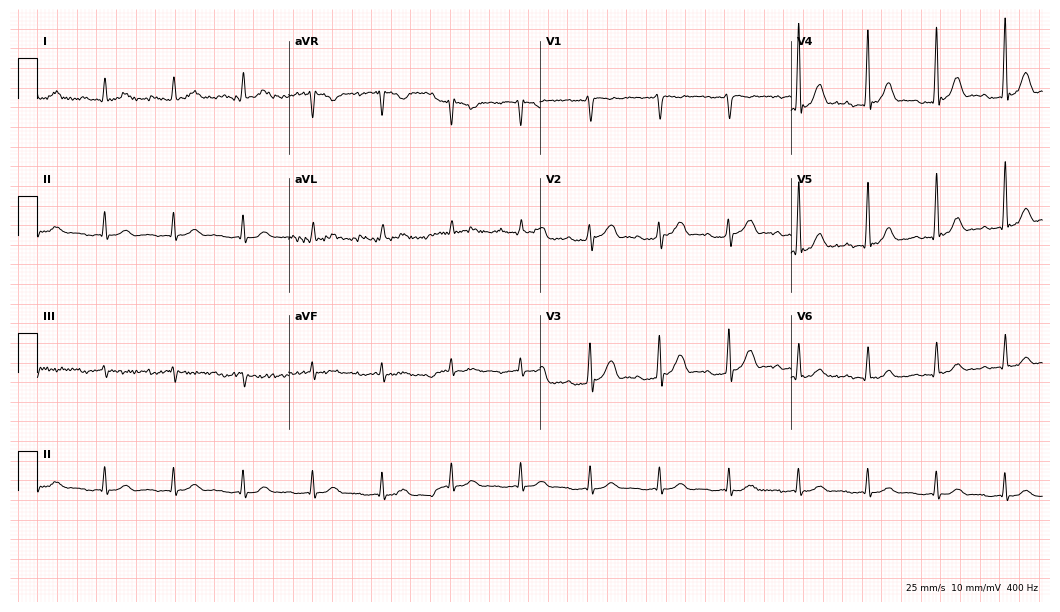
12-lead ECG (10.2-second recording at 400 Hz) from a man, 81 years old. Screened for six findings — first-degree AV block, right bundle branch block, left bundle branch block, sinus bradycardia, atrial fibrillation, sinus tachycardia — none is recorded. Only these six findings were labelled.